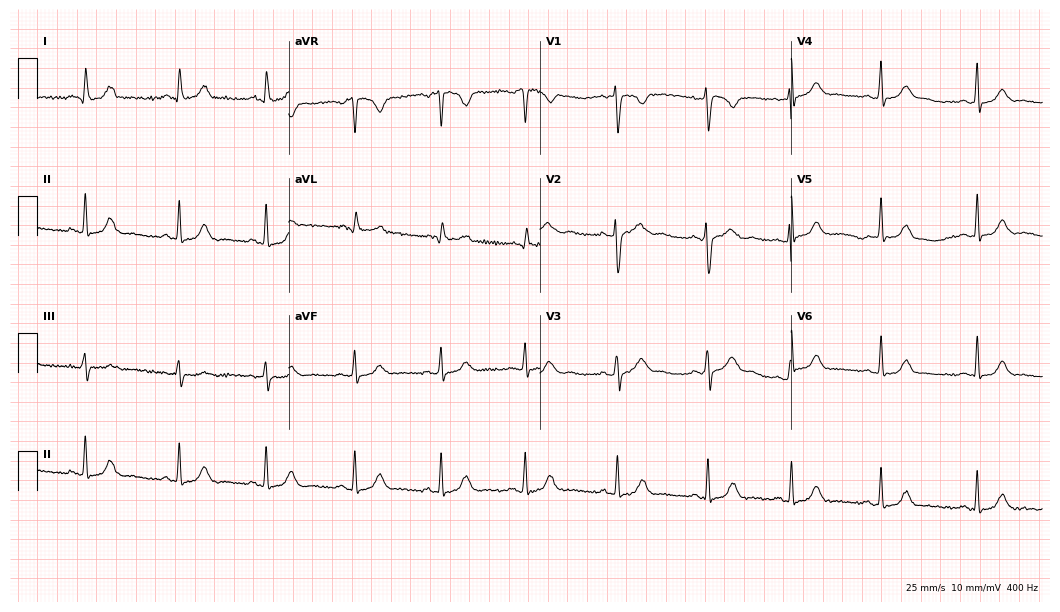
12-lead ECG (10.2-second recording at 400 Hz) from a female, 37 years old. Labelled as a normal ECG.